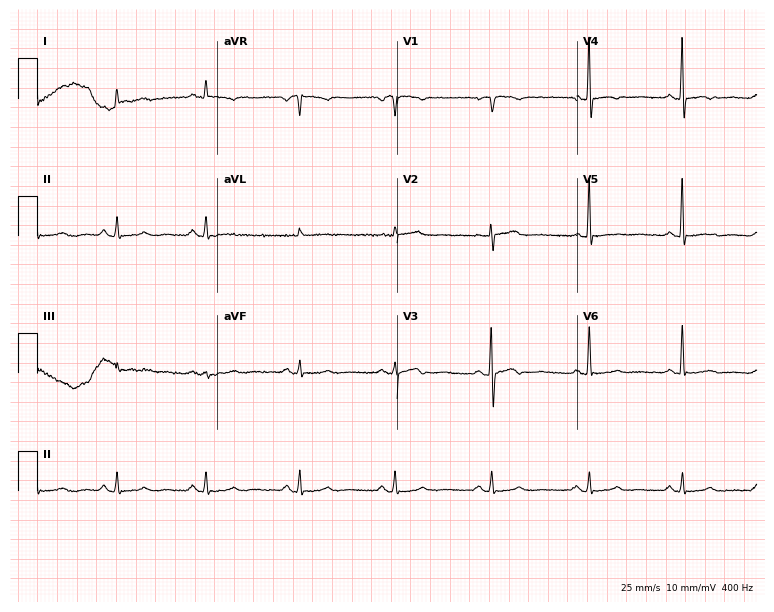
Resting 12-lead electrocardiogram (7.3-second recording at 400 Hz). Patient: a 53-year-old female. None of these six findings is recorded: first-degree AV block, right bundle branch block, left bundle branch block, sinus bradycardia, atrial fibrillation, sinus tachycardia. Other findings, if any, are not listed.